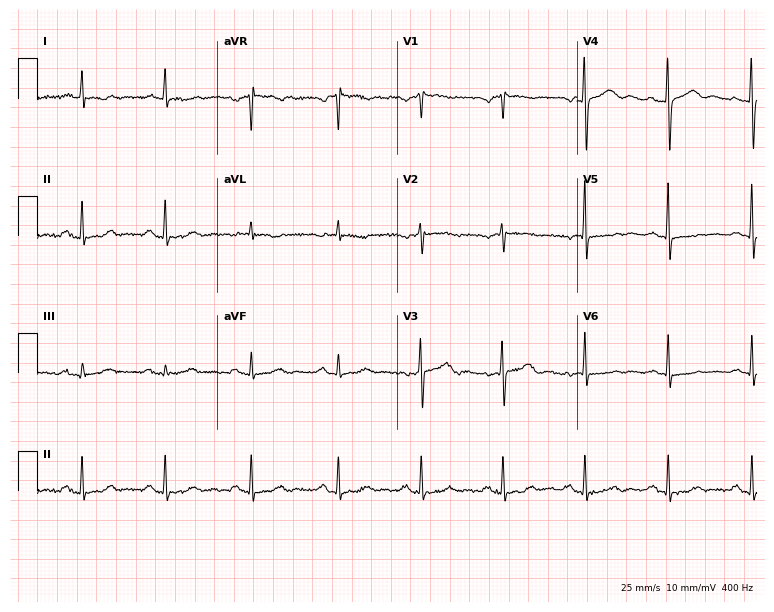
Standard 12-lead ECG recorded from a 61-year-old woman (7.3-second recording at 400 Hz). None of these six findings is recorded: first-degree AV block, right bundle branch block, left bundle branch block, sinus bradycardia, atrial fibrillation, sinus tachycardia. Findings outside these six are not listed.